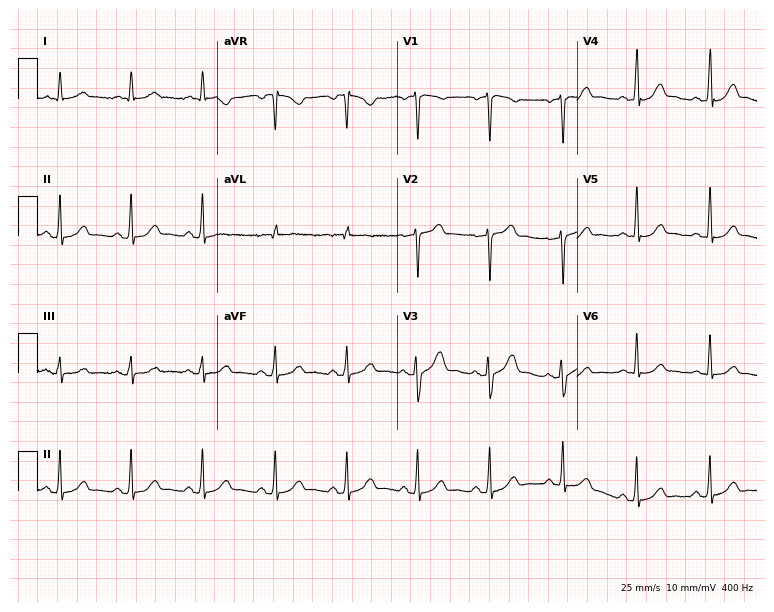
ECG — a male, 53 years old. Labelled as a normal ECG.